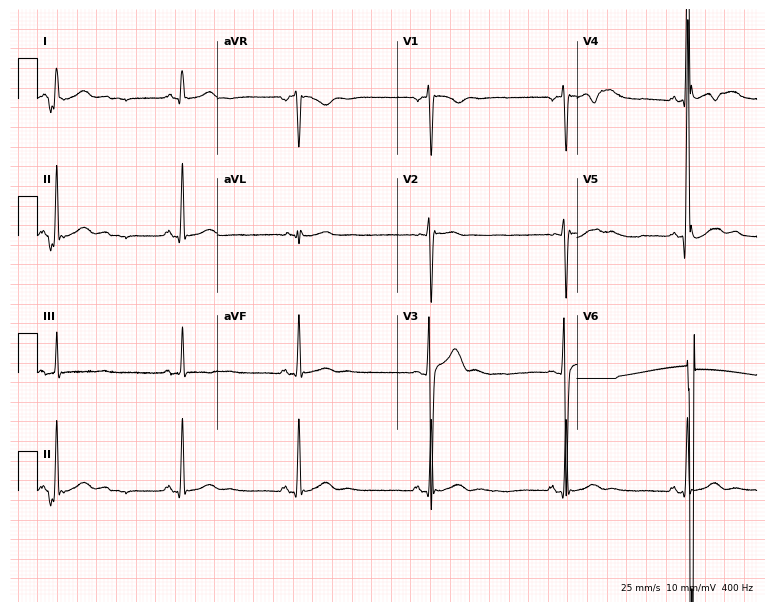
ECG — a 49-year-old male patient. Screened for six findings — first-degree AV block, right bundle branch block, left bundle branch block, sinus bradycardia, atrial fibrillation, sinus tachycardia — none is recorded. Only these six findings were labelled.